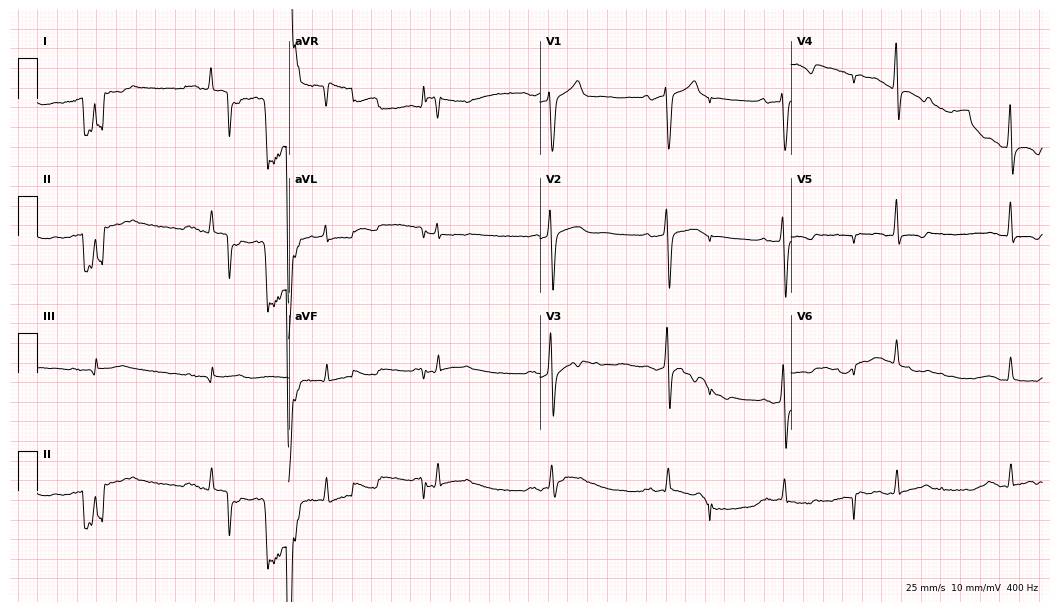
ECG (10.2-second recording at 400 Hz) — a male, 54 years old. Screened for six findings — first-degree AV block, right bundle branch block, left bundle branch block, sinus bradycardia, atrial fibrillation, sinus tachycardia — none is recorded.